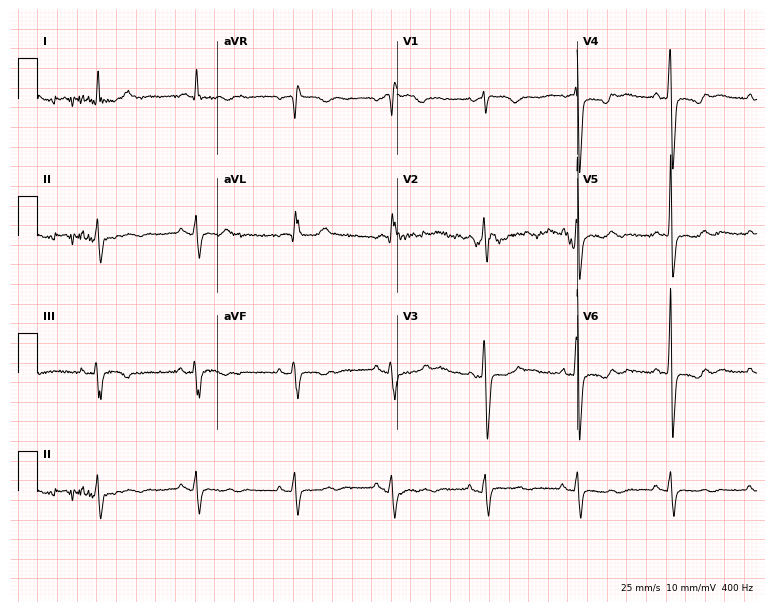
Resting 12-lead electrocardiogram. Patient: a 74-year-old woman. None of these six findings is recorded: first-degree AV block, right bundle branch block, left bundle branch block, sinus bradycardia, atrial fibrillation, sinus tachycardia. Other findings, if any, are not listed.